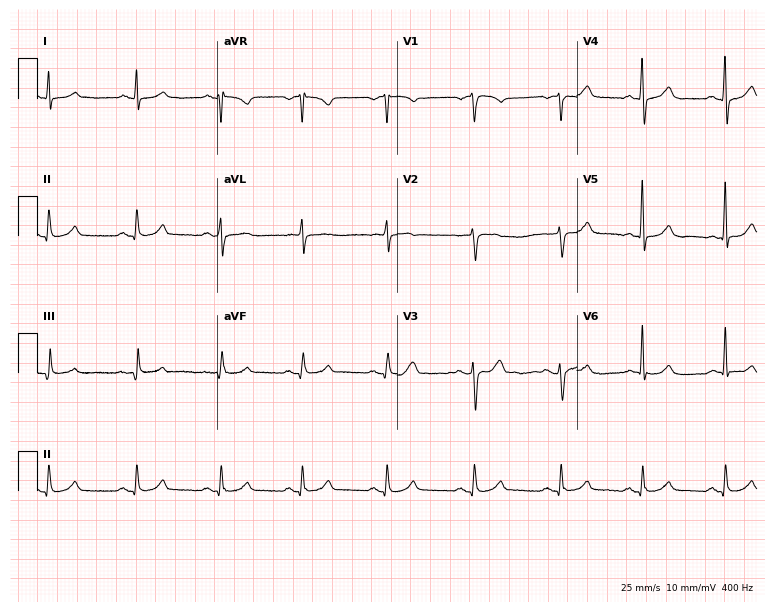
Resting 12-lead electrocardiogram (7.3-second recording at 400 Hz). Patient: a 47-year-old male. Read as a normal ECG.